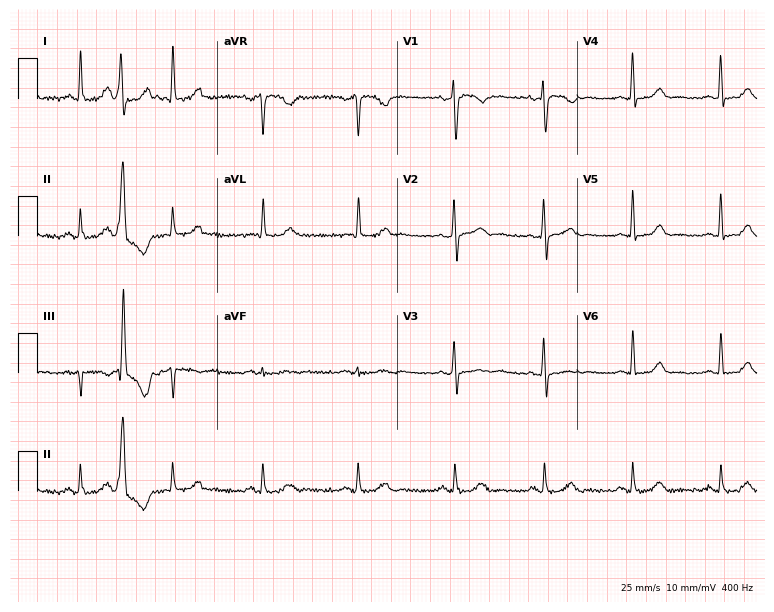
ECG (7.3-second recording at 400 Hz) — a 44-year-old woman. Screened for six findings — first-degree AV block, right bundle branch block, left bundle branch block, sinus bradycardia, atrial fibrillation, sinus tachycardia — none is recorded. Other findings, if any, are not listed.